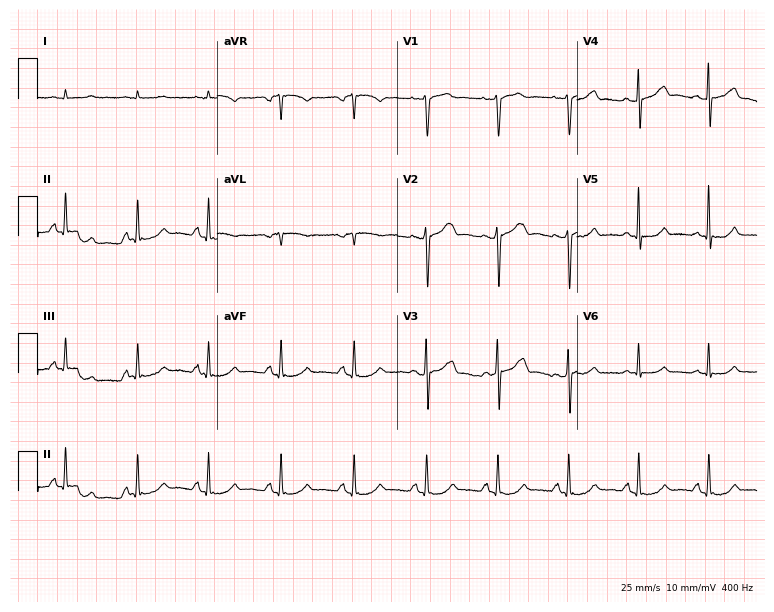
12-lead ECG from a man, 64 years old. Recorded interpretation: within normal limits.